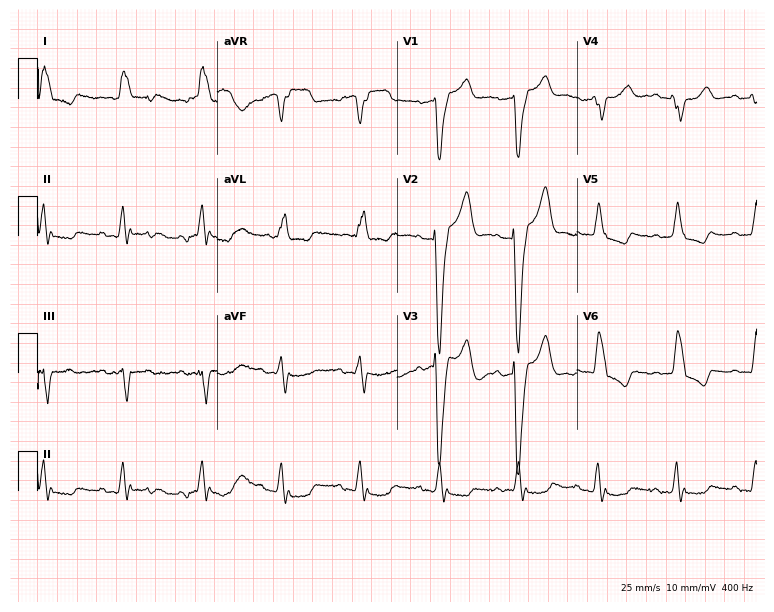
Standard 12-lead ECG recorded from an 81-year-old female patient (7.3-second recording at 400 Hz). The tracing shows left bundle branch block (LBBB).